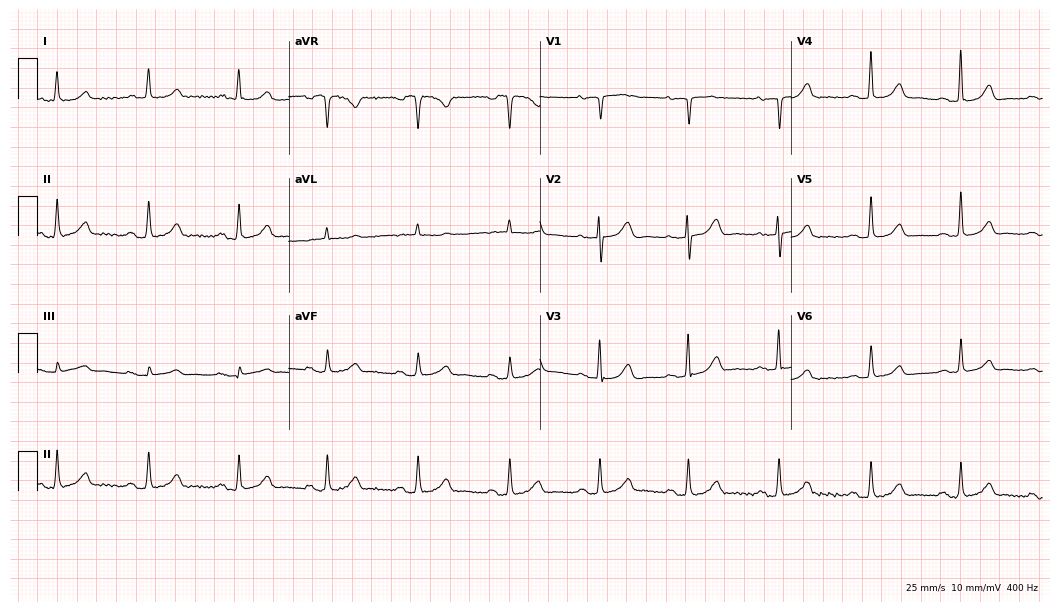
12-lead ECG from an 85-year-old female (10.2-second recording at 400 Hz). No first-degree AV block, right bundle branch block (RBBB), left bundle branch block (LBBB), sinus bradycardia, atrial fibrillation (AF) or sinus tachycardia recorded for this tracing.